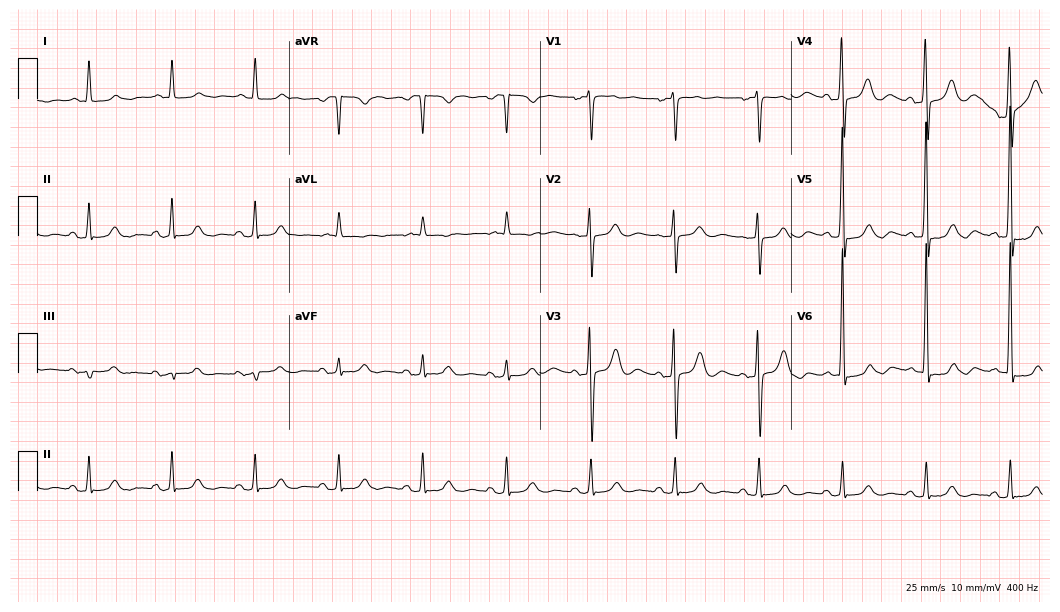
12-lead ECG from an 84-year-old male (10.2-second recording at 400 Hz). Recorded interpretation: within normal limits.